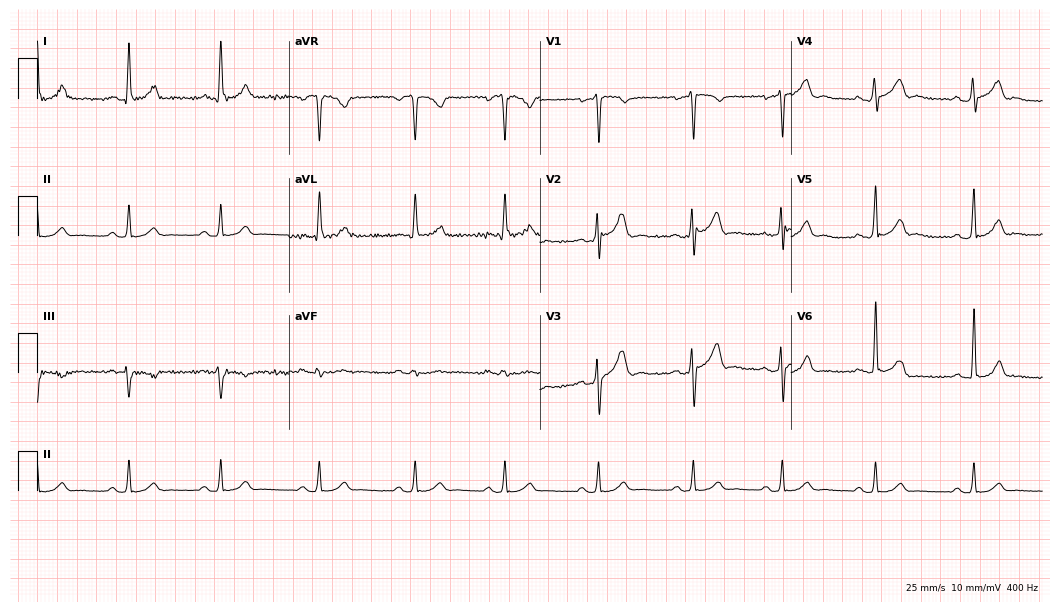
12-lead ECG from a 43-year-old male patient. Recorded interpretation: within normal limits.